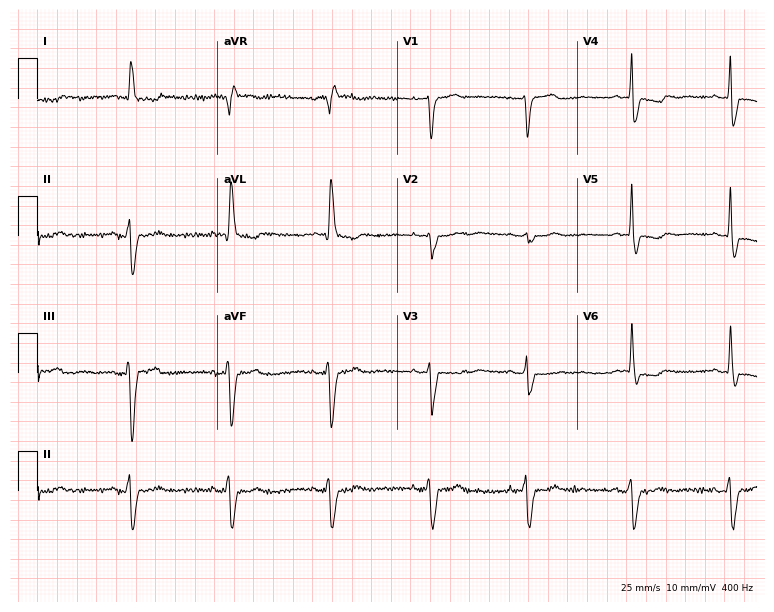
12-lead ECG (7.3-second recording at 400 Hz) from a female patient, 73 years old. Screened for six findings — first-degree AV block, right bundle branch block, left bundle branch block, sinus bradycardia, atrial fibrillation, sinus tachycardia — none is recorded. Other findings, if any, are not listed.